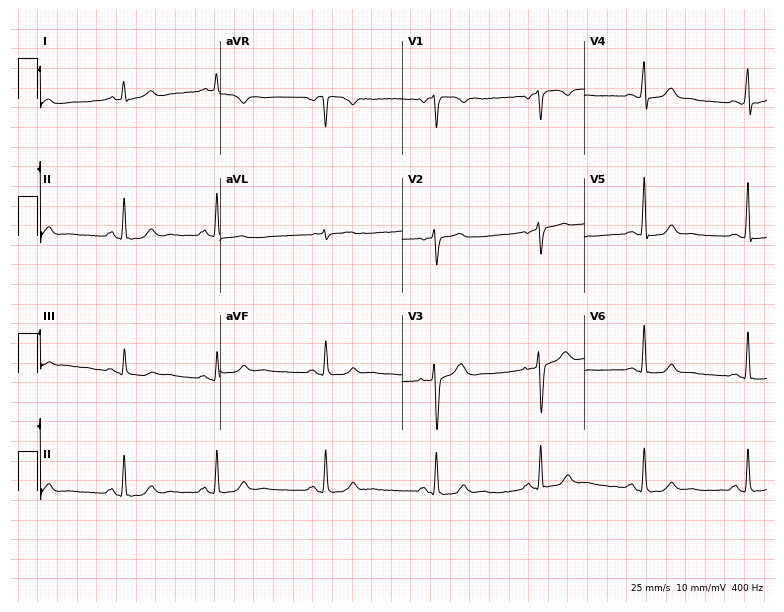
Resting 12-lead electrocardiogram. Patient: a 28-year-old female. Read as a normal ECG.